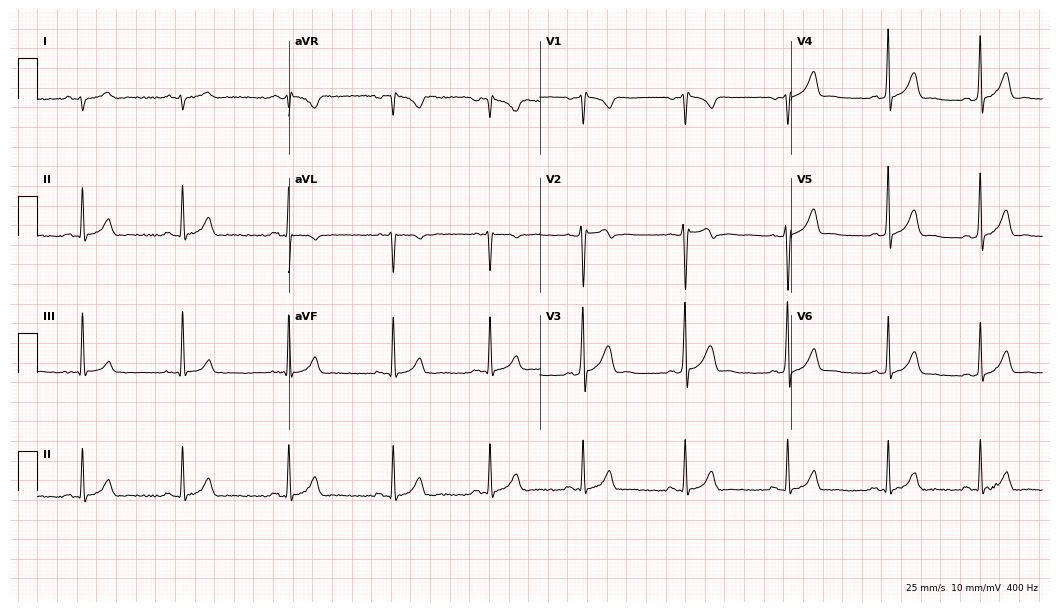
Standard 12-lead ECG recorded from a 23-year-old male patient (10.2-second recording at 400 Hz). Read as a normal ECG.